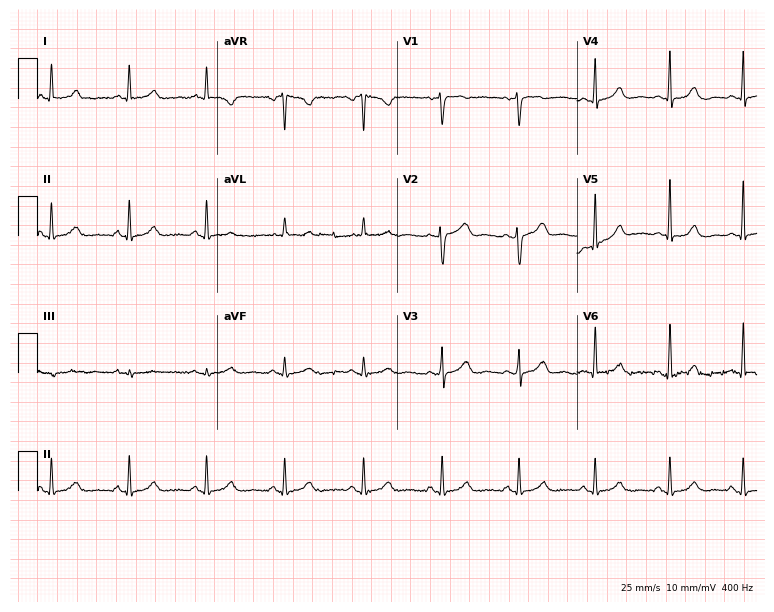
ECG (7.3-second recording at 400 Hz) — a female patient, 50 years old. Screened for six findings — first-degree AV block, right bundle branch block, left bundle branch block, sinus bradycardia, atrial fibrillation, sinus tachycardia — none is recorded. Other findings, if any, are not listed.